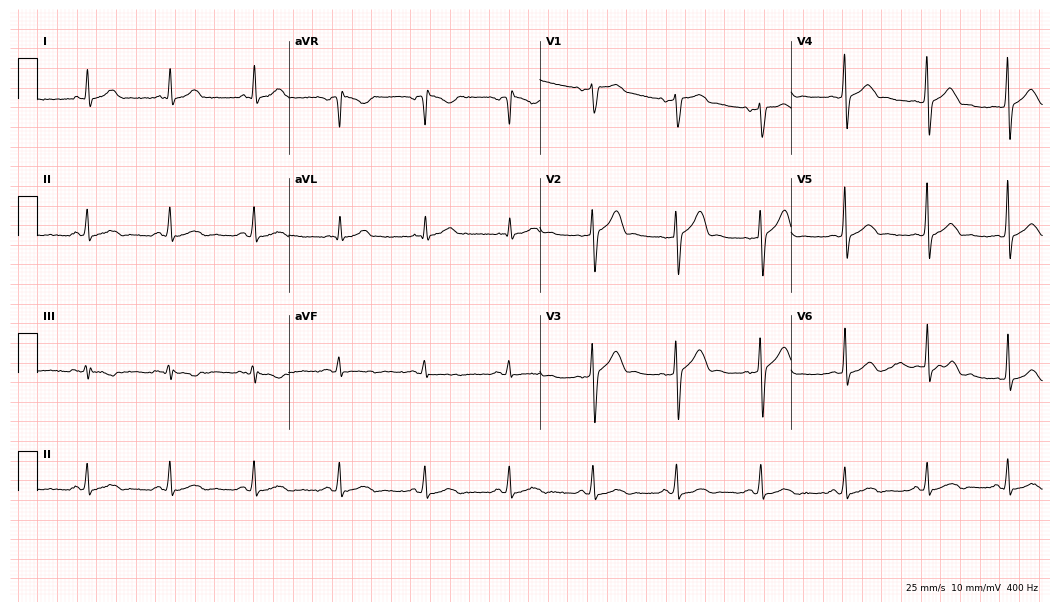
Standard 12-lead ECG recorded from a 48-year-old male patient. Read as a normal ECG.